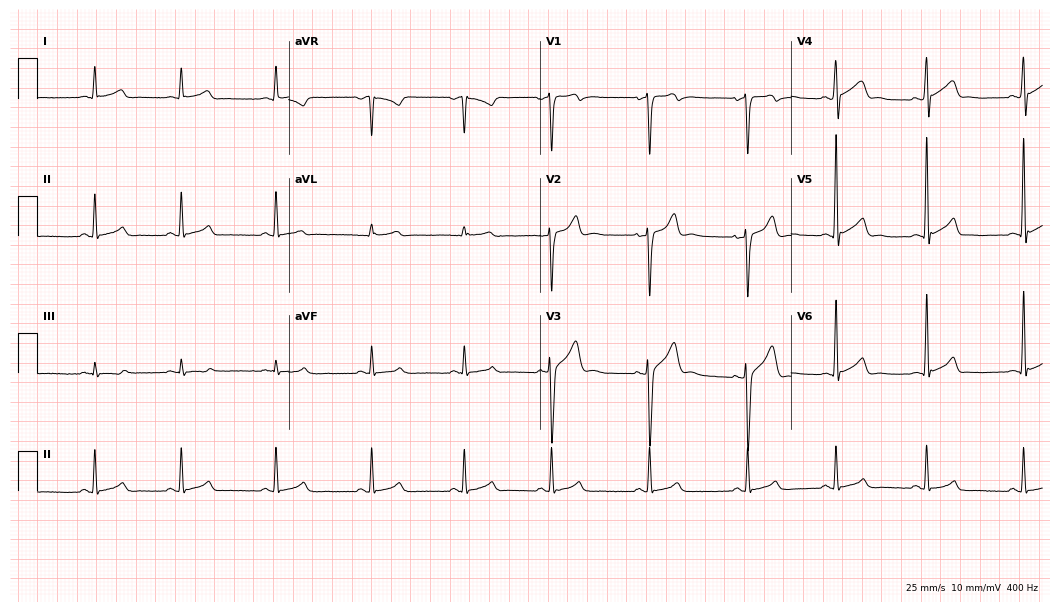
Electrocardiogram (10.2-second recording at 400 Hz), a male, 30 years old. Overall reading on record: normal ECG.